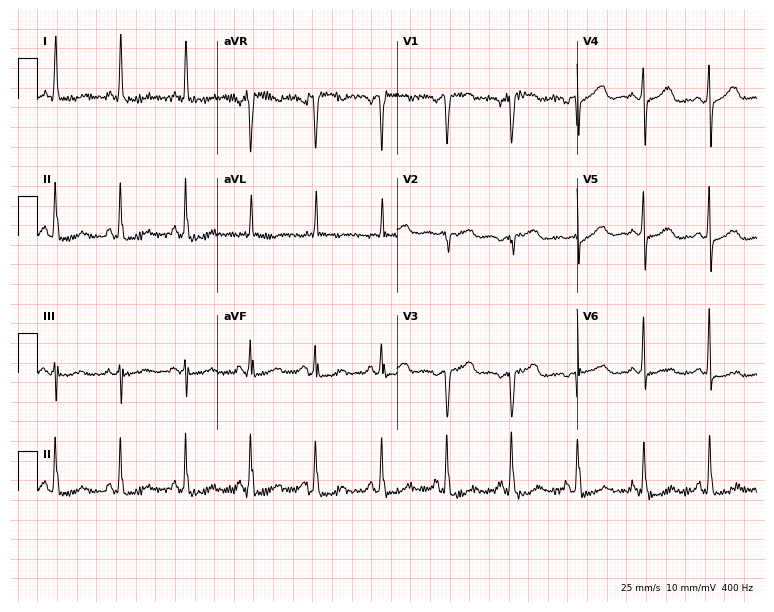
12-lead ECG from a woman, 65 years old. Labelled as a normal ECG.